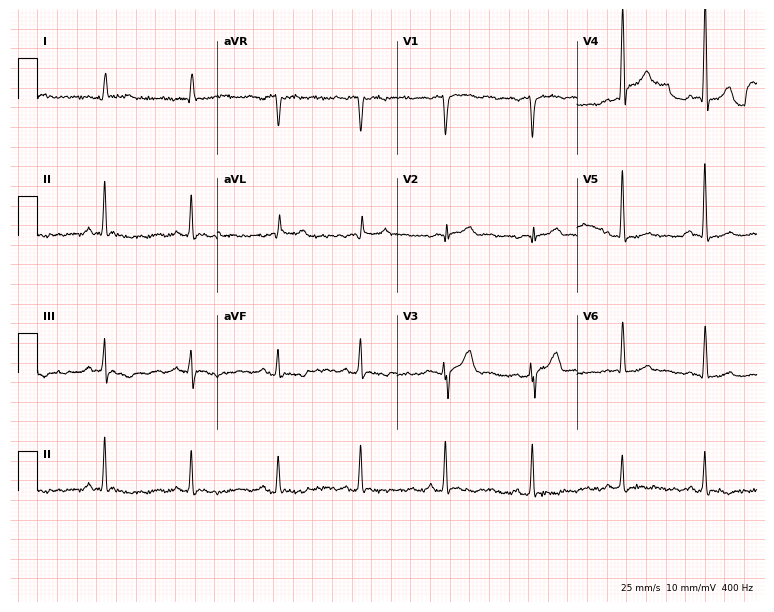
ECG (7.3-second recording at 400 Hz) — a male patient, 81 years old. Screened for six findings — first-degree AV block, right bundle branch block, left bundle branch block, sinus bradycardia, atrial fibrillation, sinus tachycardia — none is recorded.